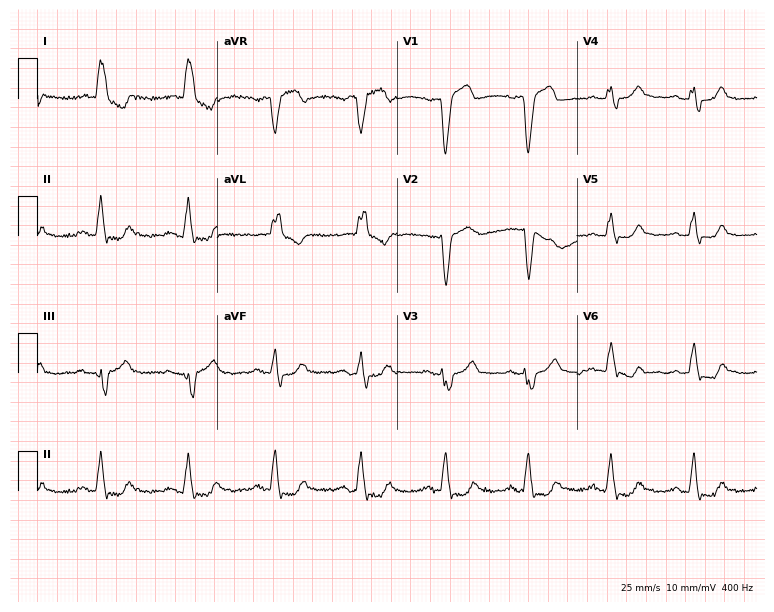
Standard 12-lead ECG recorded from a 73-year-old female patient (7.3-second recording at 400 Hz). The tracing shows left bundle branch block.